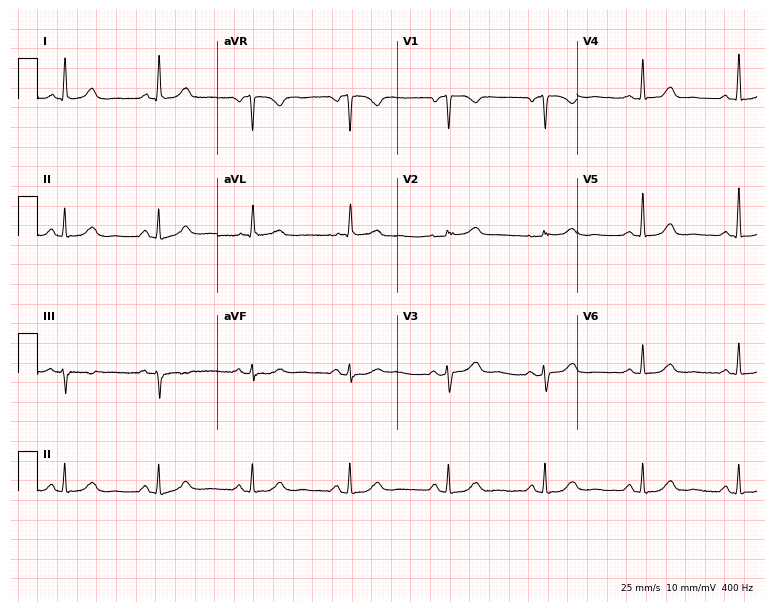
Standard 12-lead ECG recorded from a woman, 70 years old (7.3-second recording at 400 Hz). Read as a normal ECG.